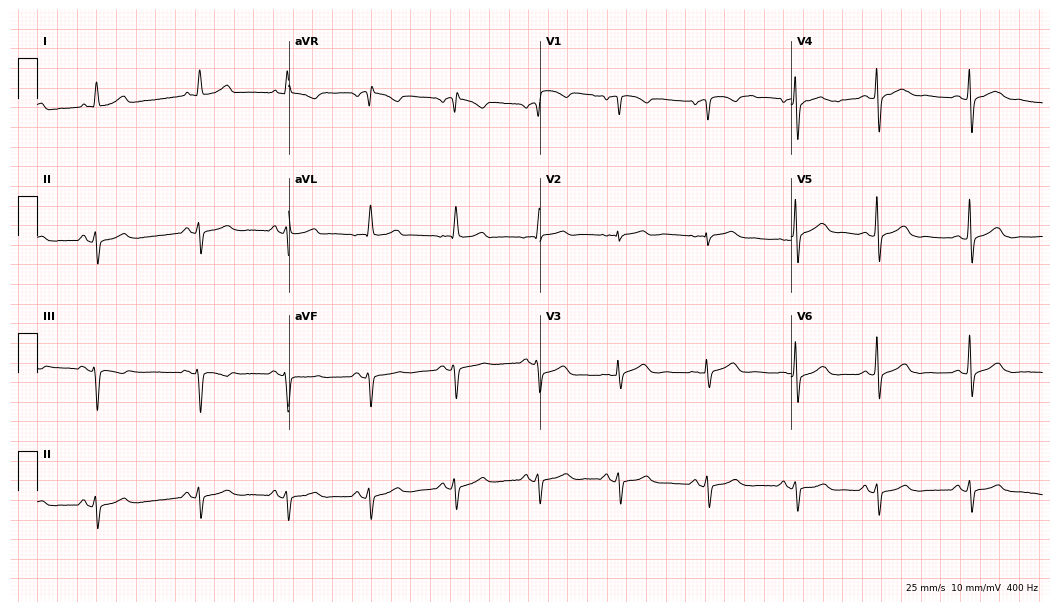
Electrocardiogram, a 62-year-old female. Of the six screened findings (first-degree AV block, right bundle branch block (RBBB), left bundle branch block (LBBB), sinus bradycardia, atrial fibrillation (AF), sinus tachycardia), none is recorded. Other findings, if any, are not listed.